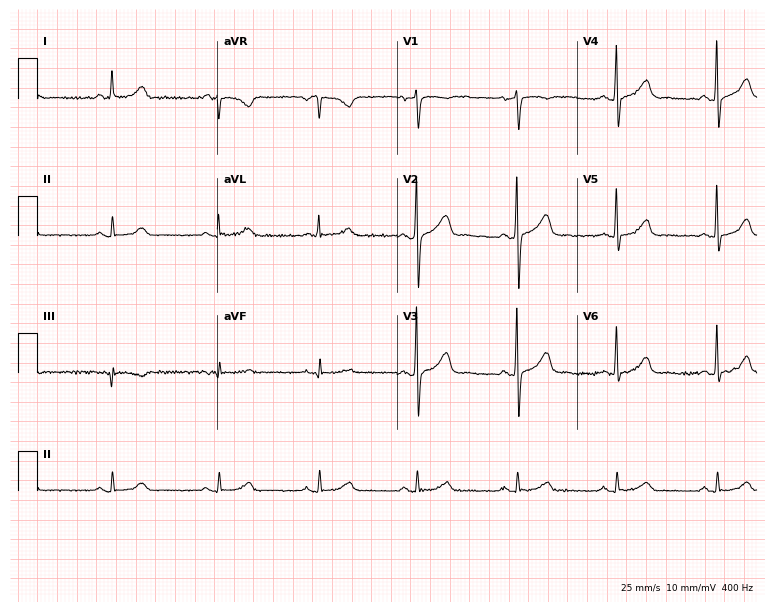
ECG — a 57-year-old male. Labelled as a normal ECG.